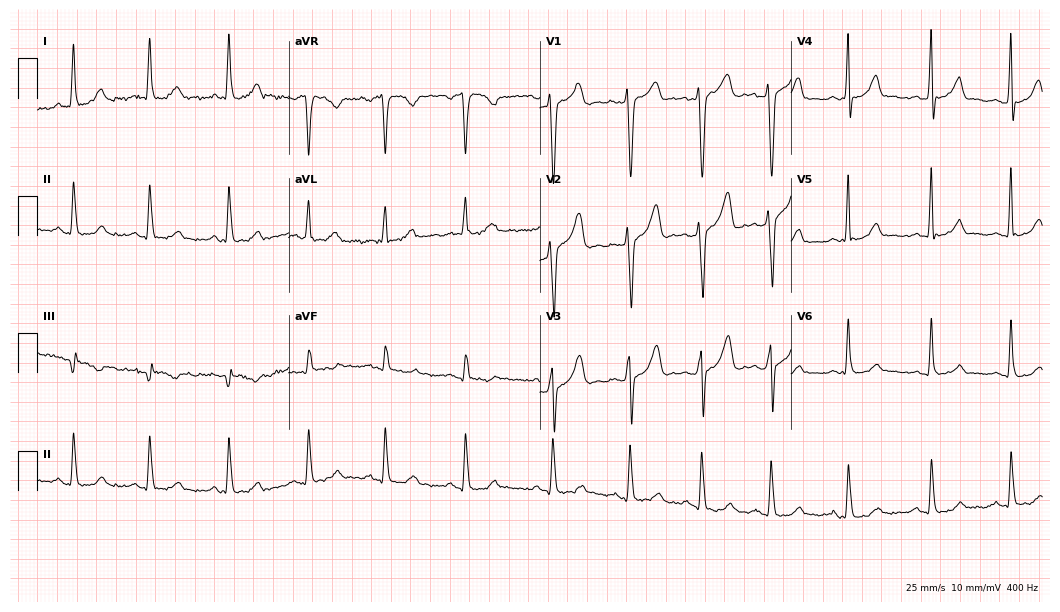
12-lead ECG from a 41-year-old female patient. Labelled as a normal ECG.